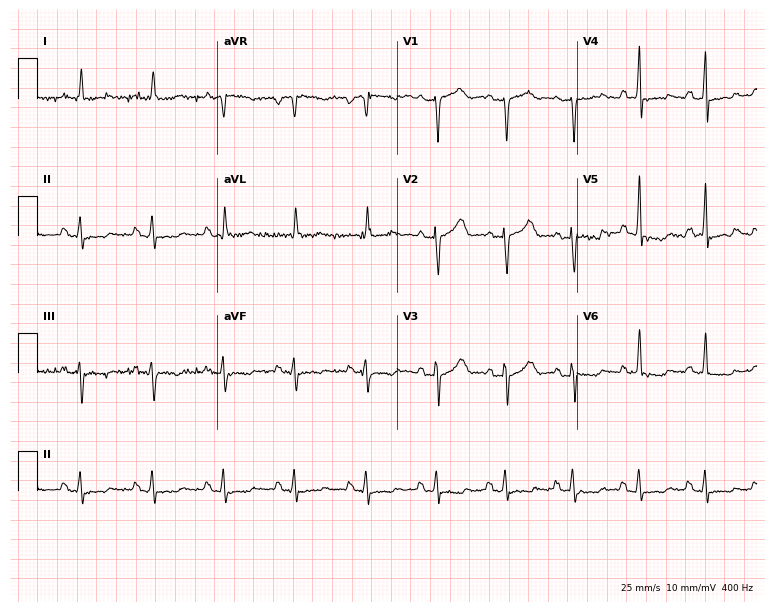
ECG (7.3-second recording at 400 Hz) — a 73-year-old male. Screened for six findings — first-degree AV block, right bundle branch block, left bundle branch block, sinus bradycardia, atrial fibrillation, sinus tachycardia — none is recorded. Other findings, if any, are not listed.